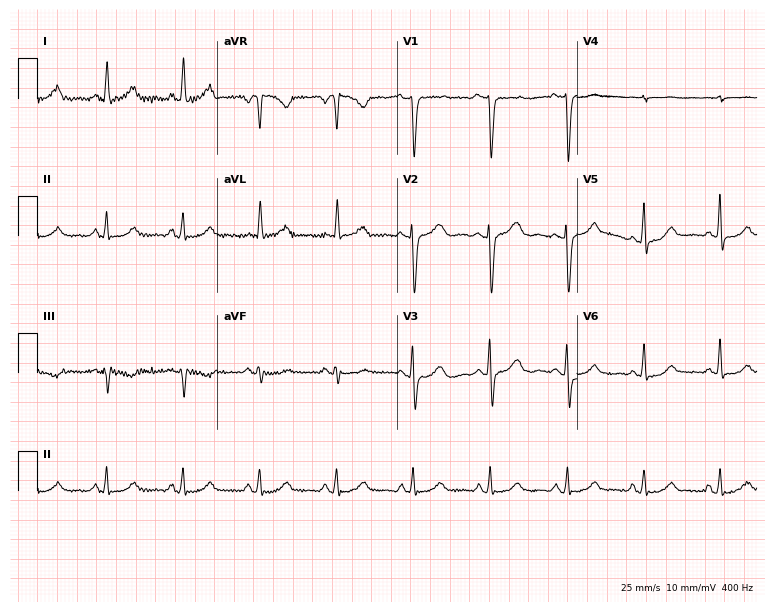
Standard 12-lead ECG recorded from a 58-year-old woman. None of these six findings is recorded: first-degree AV block, right bundle branch block, left bundle branch block, sinus bradycardia, atrial fibrillation, sinus tachycardia.